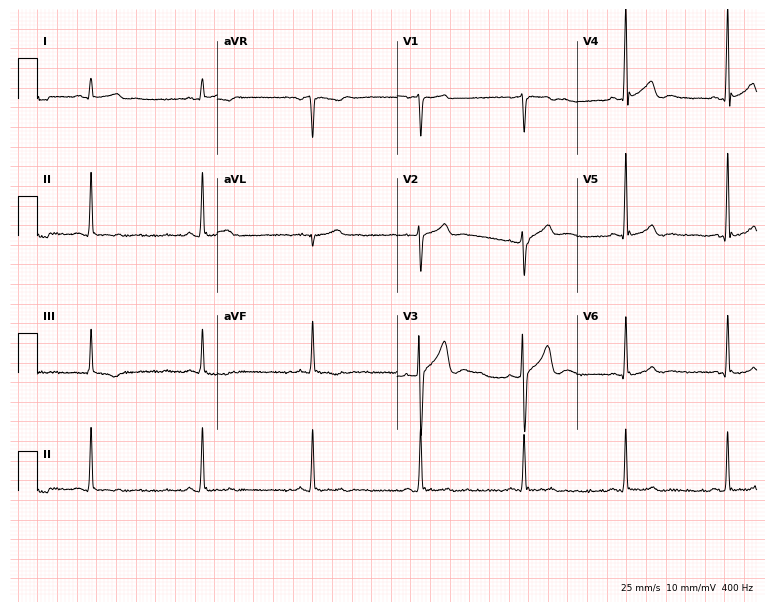
ECG (7.3-second recording at 400 Hz) — a 29-year-old male. Labelled as a normal ECG.